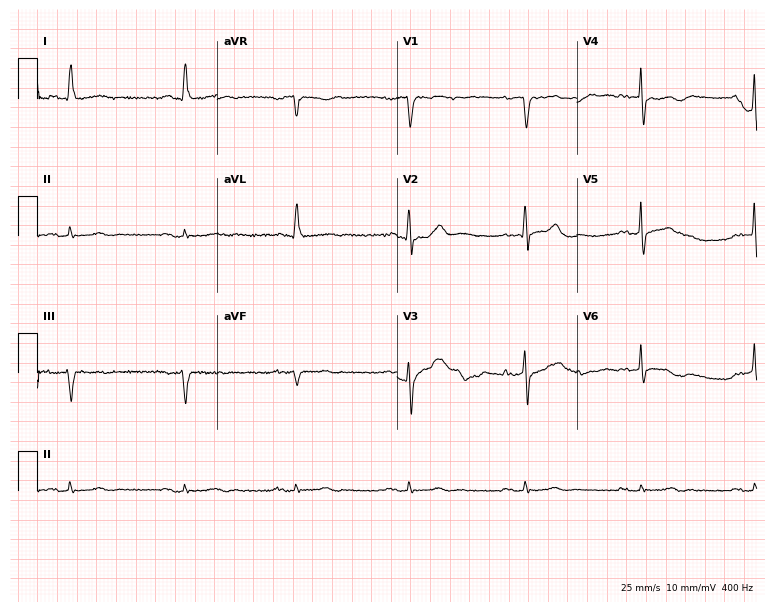
12-lead ECG from a 78-year-old man. Shows first-degree AV block.